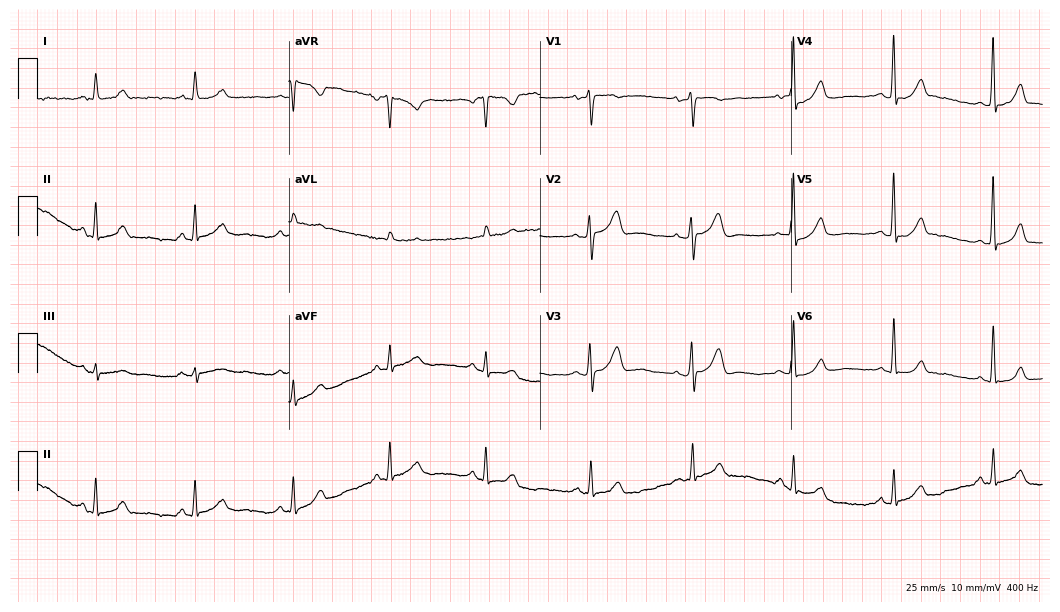
Standard 12-lead ECG recorded from a 60-year-old female. Read as a normal ECG.